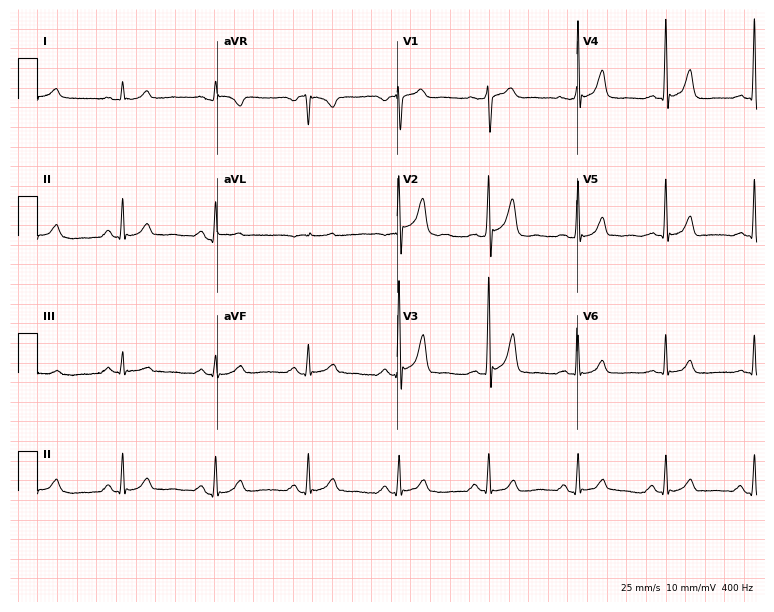
Electrocardiogram (7.3-second recording at 400 Hz), a man, 51 years old. Overall reading on record: normal ECG.